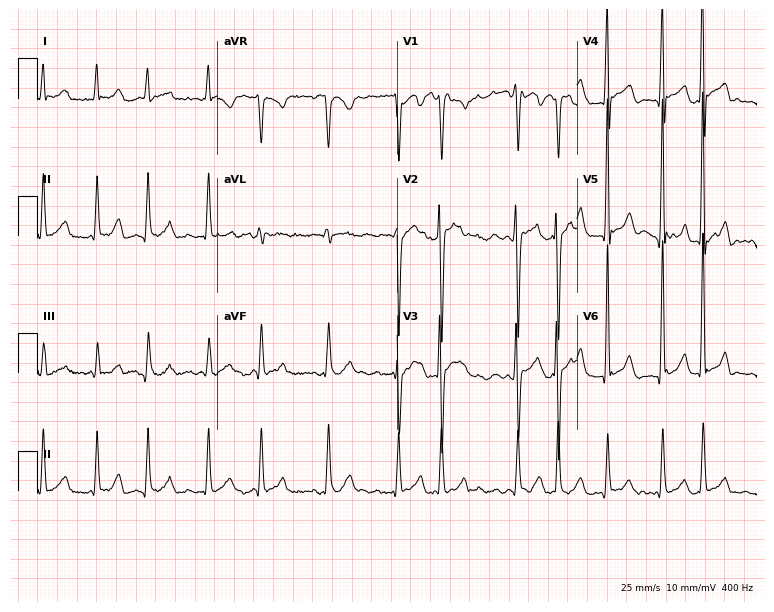
Resting 12-lead electrocardiogram (7.3-second recording at 400 Hz). Patient: a male, 44 years old. None of these six findings is recorded: first-degree AV block, right bundle branch block, left bundle branch block, sinus bradycardia, atrial fibrillation, sinus tachycardia. Only these six findings were labelled.